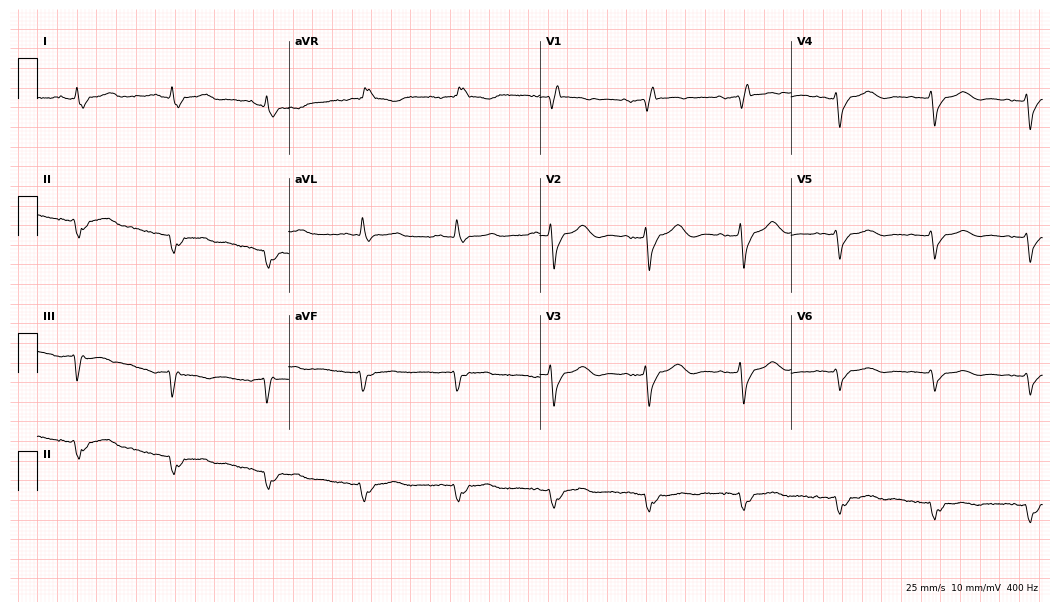
Resting 12-lead electrocardiogram. Patient: a female, 84 years old. The tracing shows right bundle branch block.